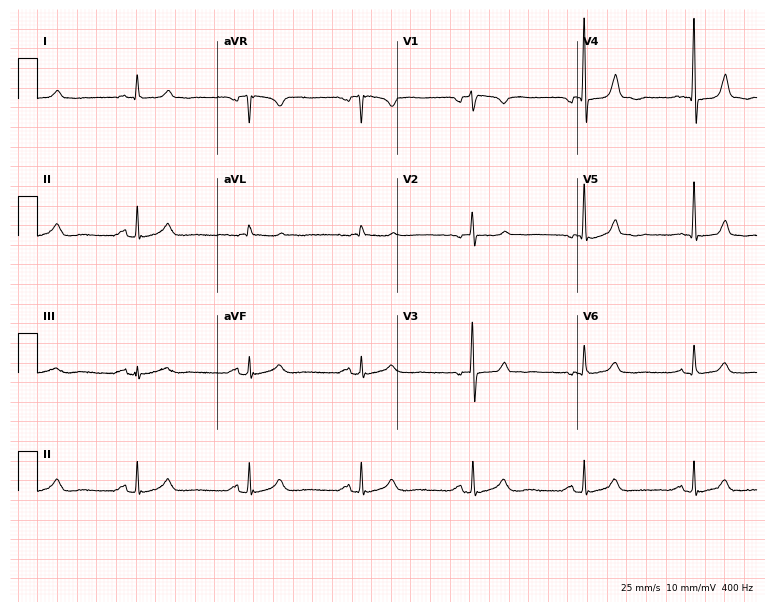
Resting 12-lead electrocardiogram. Patient: a female, 64 years old. Read as a normal ECG.